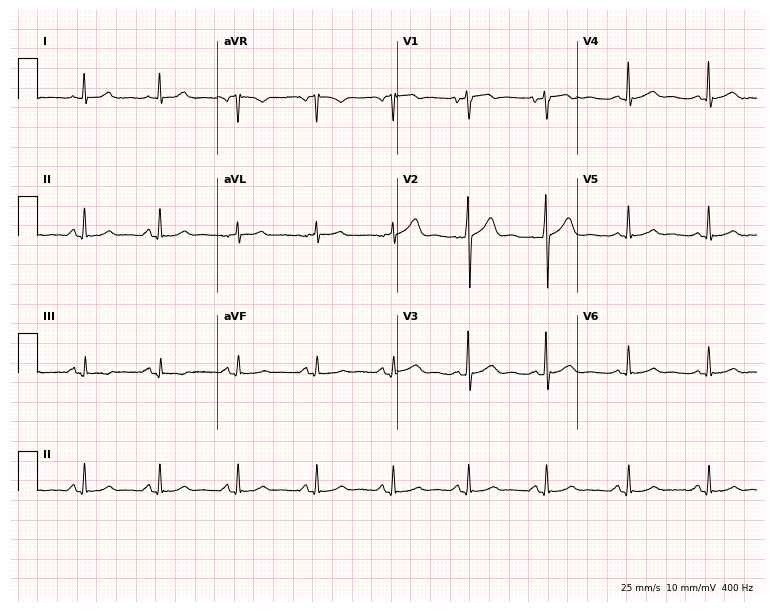
12-lead ECG from a male, 44 years old (7.3-second recording at 400 Hz). Recorded interpretation: within normal limits.